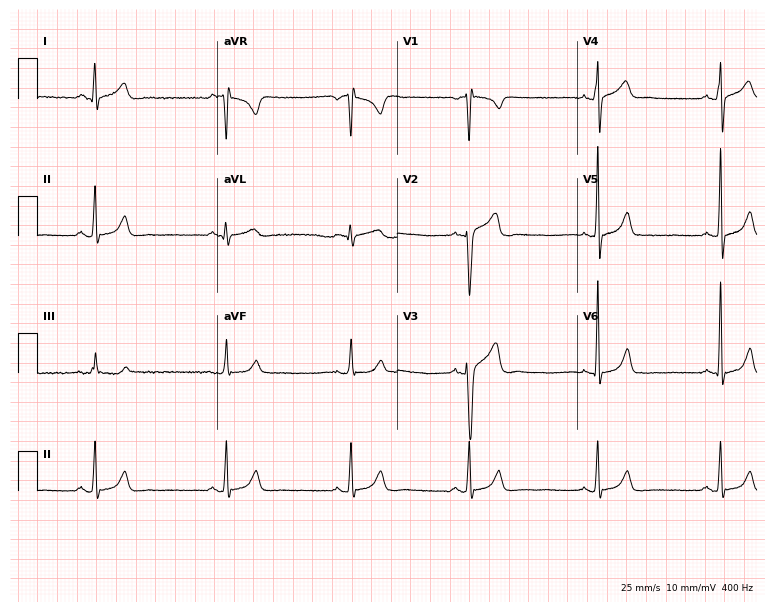
Electrocardiogram (7.3-second recording at 400 Hz), a man, 22 years old. Interpretation includes sinus bradycardia (a sinus rate of 50 beats per minute or less).